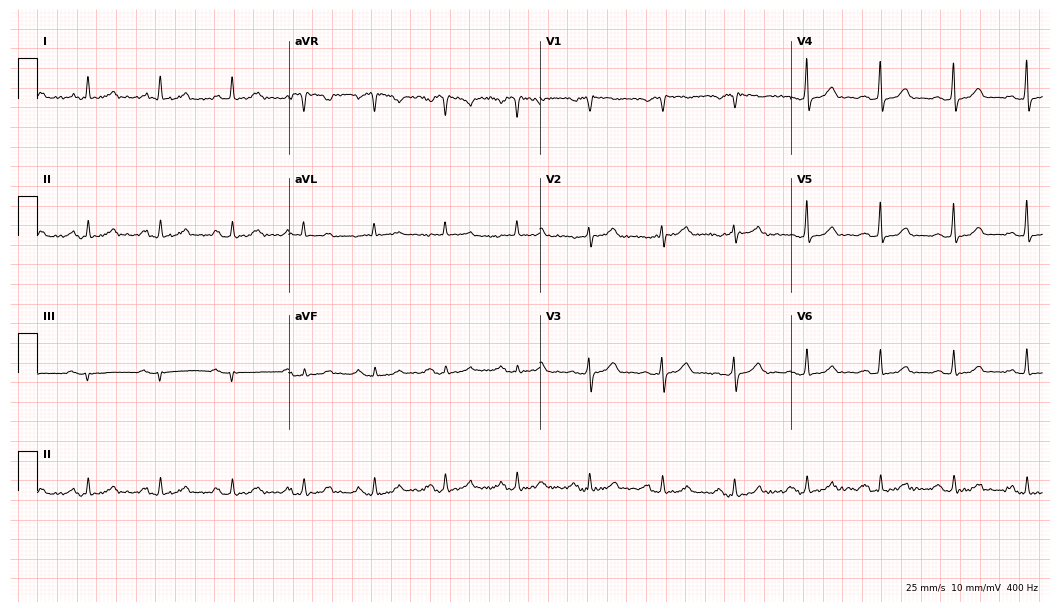
12-lead ECG from a 67-year-old female patient (10.2-second recording at 400 Hz). Recorded interpretation: within normal limits.